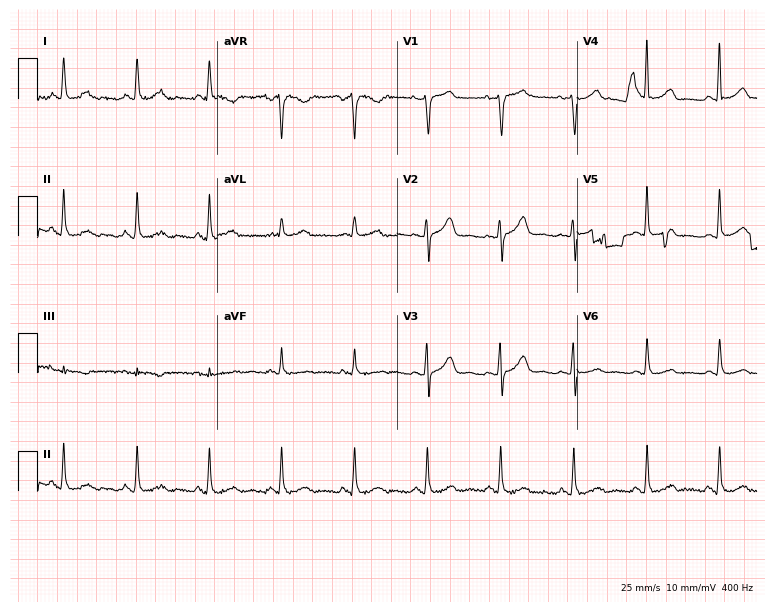
ECG — a female patient, 58 years old. Screened for six findings — first-degree AV block, right bundle branch block (RBBB), left bundle branch block (LBBB), sinus bradycardia, atrial fibrillation (AF), sinus tachycardia — none is recorded. Findings outside these six are not listed.